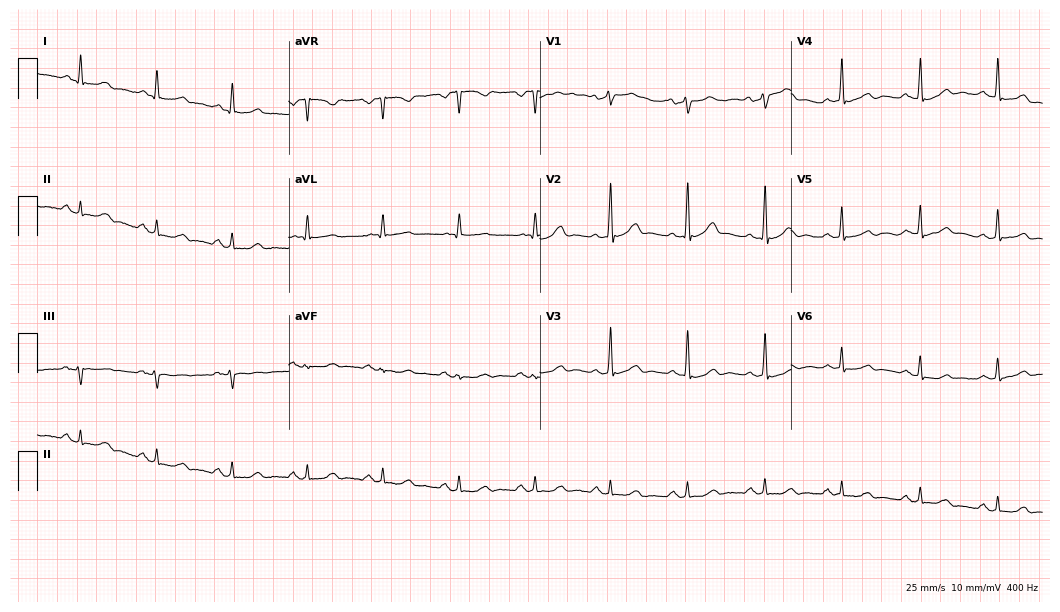
ECG (10.2-second recording at 400 Hz) — a male, 47 years old. Screened for six findings — first-degree AV block, right bundle branch block, left bundle branch block, sinus bradycardia, atrial fibrillation, sinus tachycardia — none is recorded.